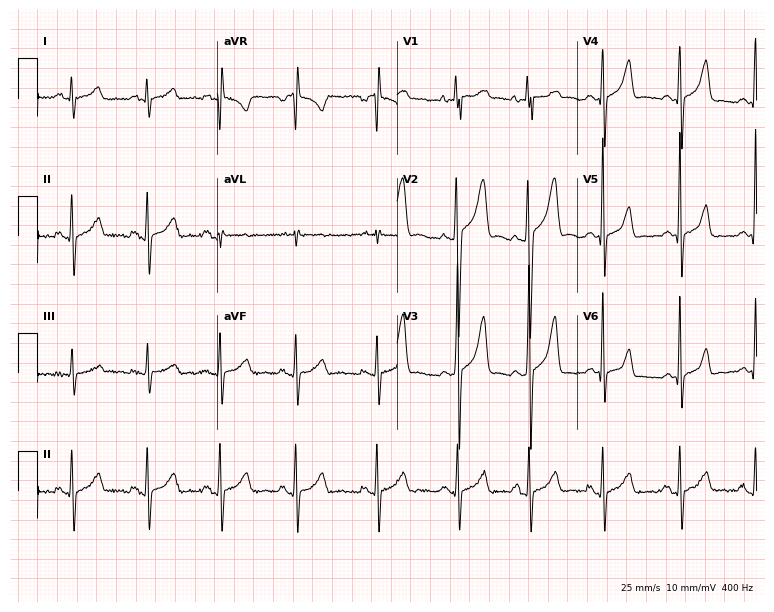
Electrocardiogram, a male, 26 years old. Of the six screened findings (first-degree AV block, right bundle branch block, left bundle branch block, sinus bradycardia, atrial fibrillation, sinus tachycardia), none is recorded. Findings outside these six are not listed.